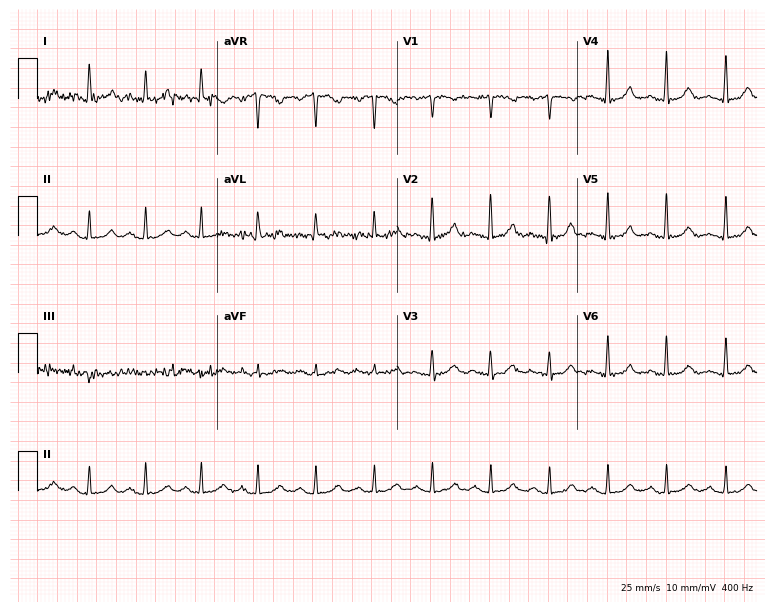
Standard 12-lead ECG recorded from a 56-year-old female (7.3-second recording at 400 Hz). The tracing shows sinus tachycardia (a sinus rate of 100 beats per minute or more).